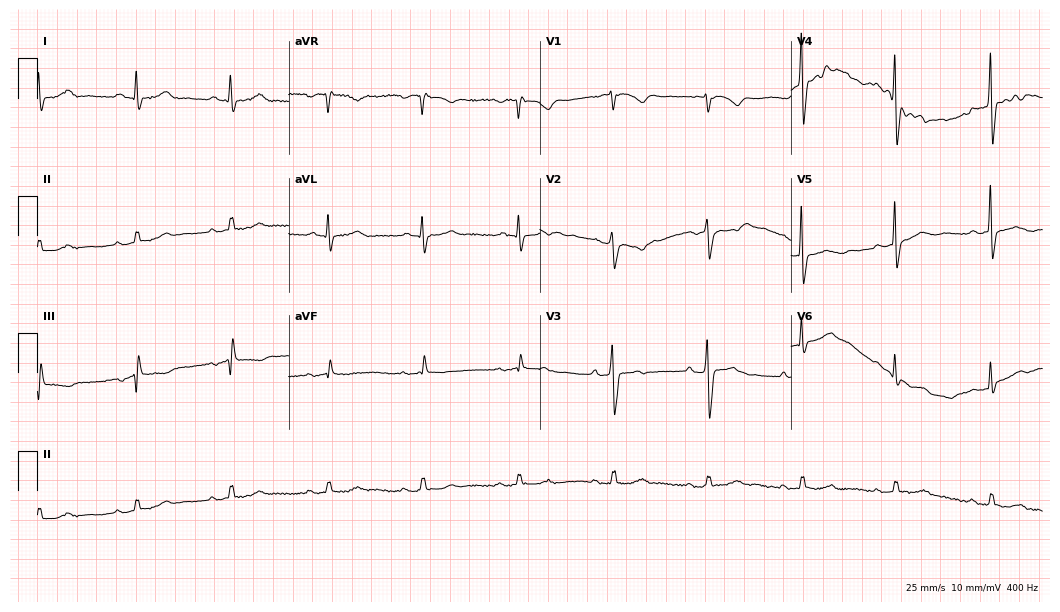
12-lead ECG from an 84-year-old male patient (10.2-second recording at 400 Hz). No first-degree AV block, right bundle branch block (RBBB), left bundle branch block (LBBB), sinus bradycardia, atrial fibrillation (AF) or sinus tachycardia recorded for this tracing.